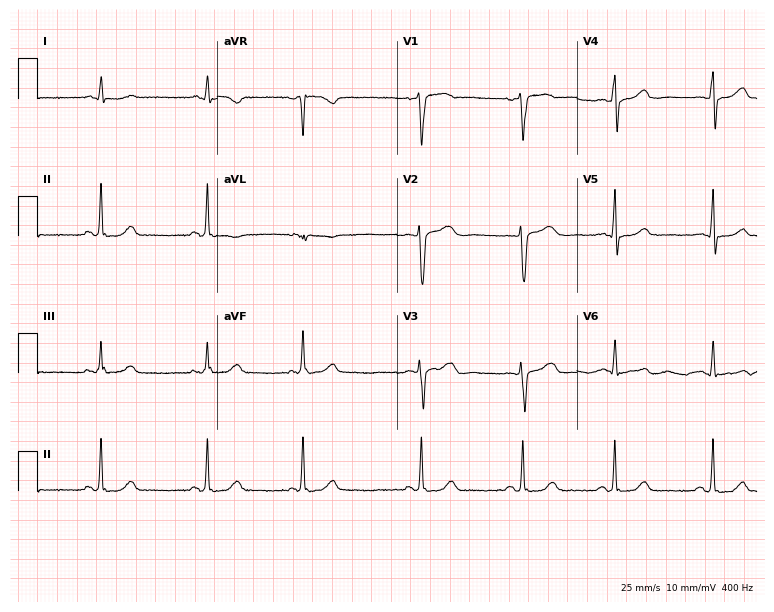
Standard 12-lead ECG recorded from a 46-year-old man (7.3-second recording at 400 Hz). Read as a normal ECG.